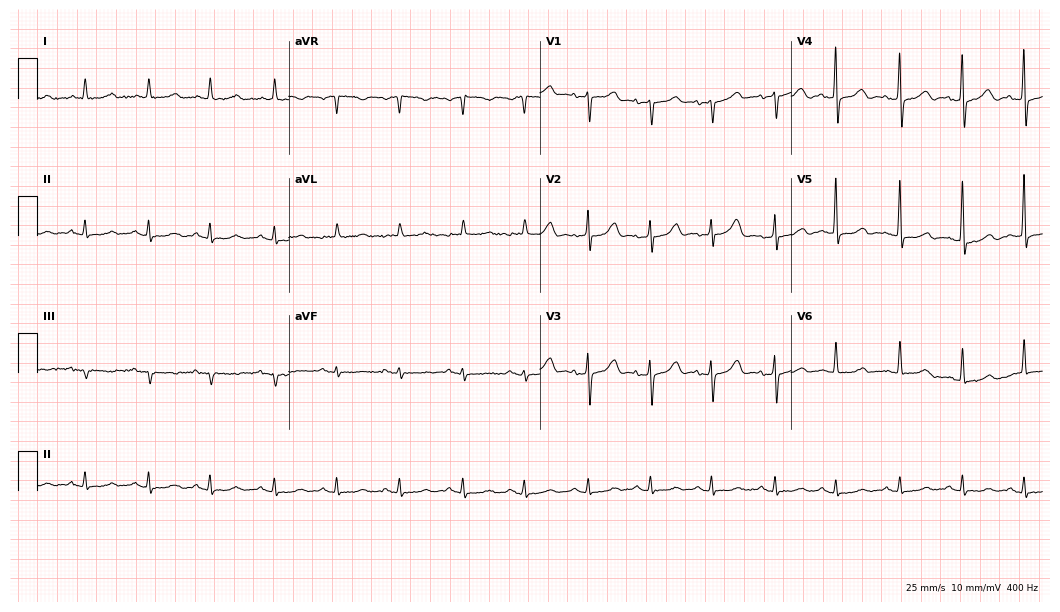
Electrocardiogram (10.2-second recording at 400 Hz), a female, 83 years old. Overall reading on record: normal ECG.